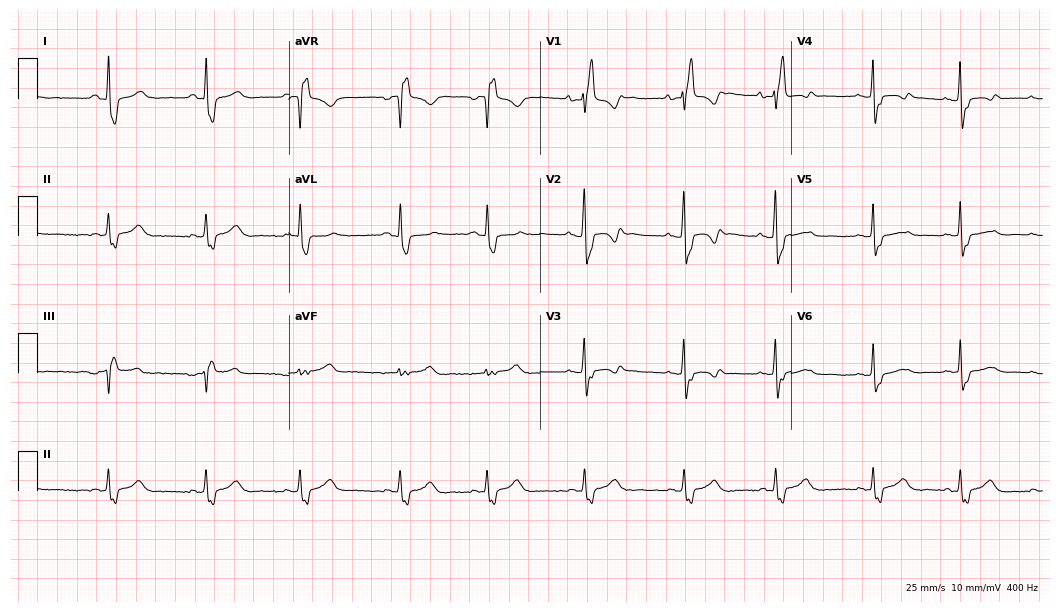
12-lead ECG from a 21-year-old female patient. Findings include right bundle branch block (RBBB).